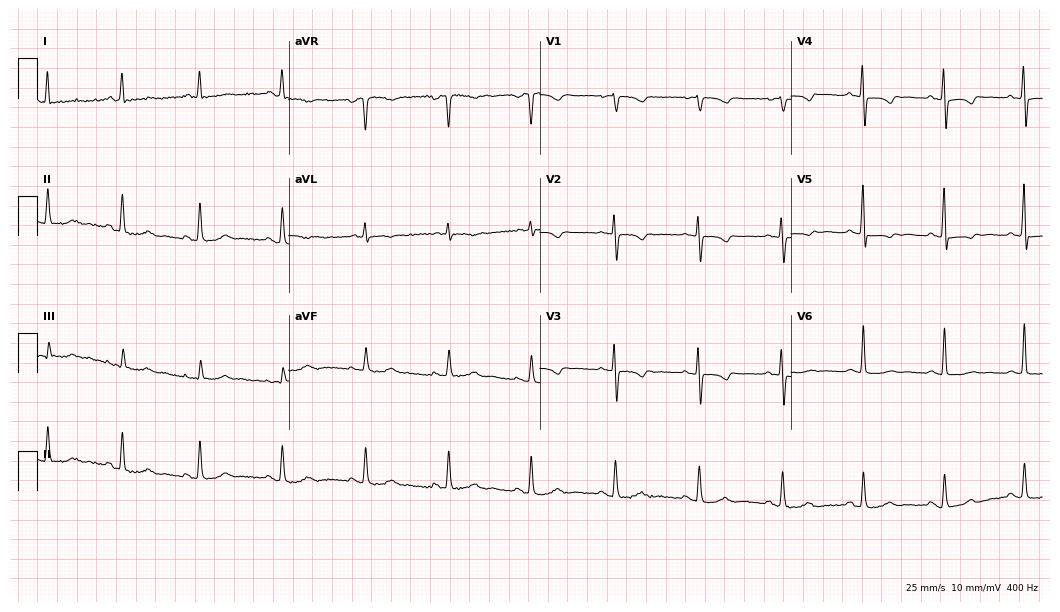
Electrocardiogram, a female patient, 76 years old. Of the six screened findings (first-degree AV block, right bundle branch block (RBBB), left bundle branch block (LBBB), sinus bradycardia, atrial fibrillation (AF), sinus tachycardia), none is recorded. Findings outside these six are not listed.